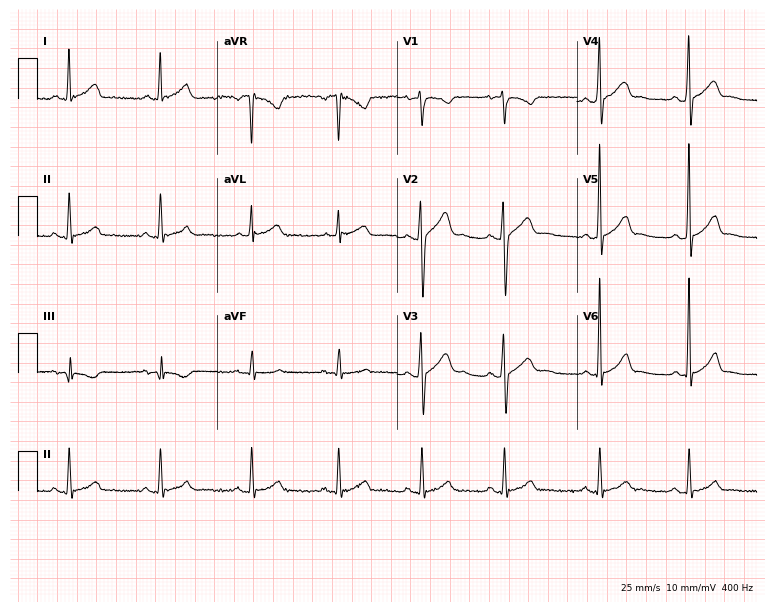
Standard 12-lead ECG recorded from a male patient, 23 years old (7.3-second recording at 400 Hz). None of these six findings is recorded: first-degree AV block, right bundle branch block (RBBB), left bundle branch block (LBBB), sinus bradycardia, atrial fibrillation (AF), sinus tachycardia. Other findings, if any, are not listed.